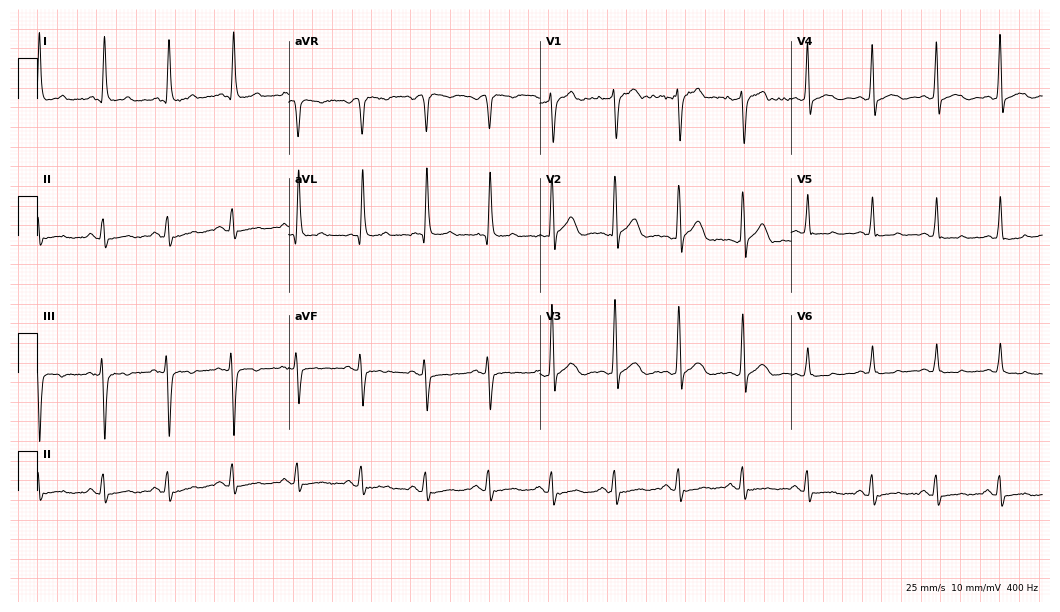
12-lead ECG from a 77-year-old man (10.2-second recording at 400 Hz). No first-degree AV block, right bundle branch block, left bundle branch block, sinus bradycardia, atrial fibrillation or sinus tachycardia recorded for this tracing. Findings outside these six are not listed.